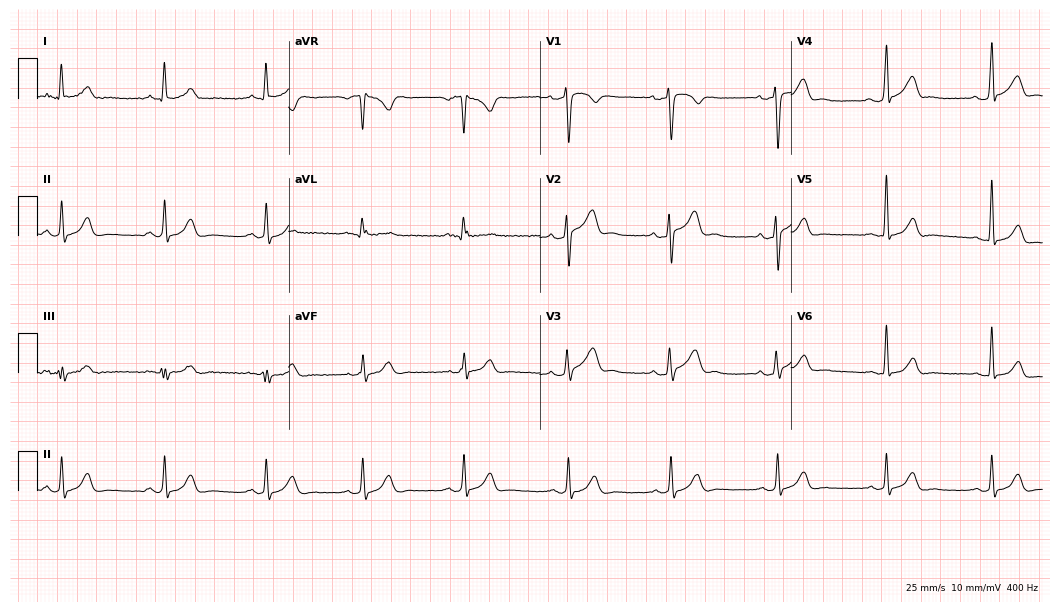
Resting 12-lead electrocardiogram (10.2-second recording at 400 Hz). Patient: a man, 36 years old. None of these six findings is recorded: first-degree AV block, right bundle branch block, left bundle branch block, sinus bradycardia, atrial fibrillation, sinus tachycardia.